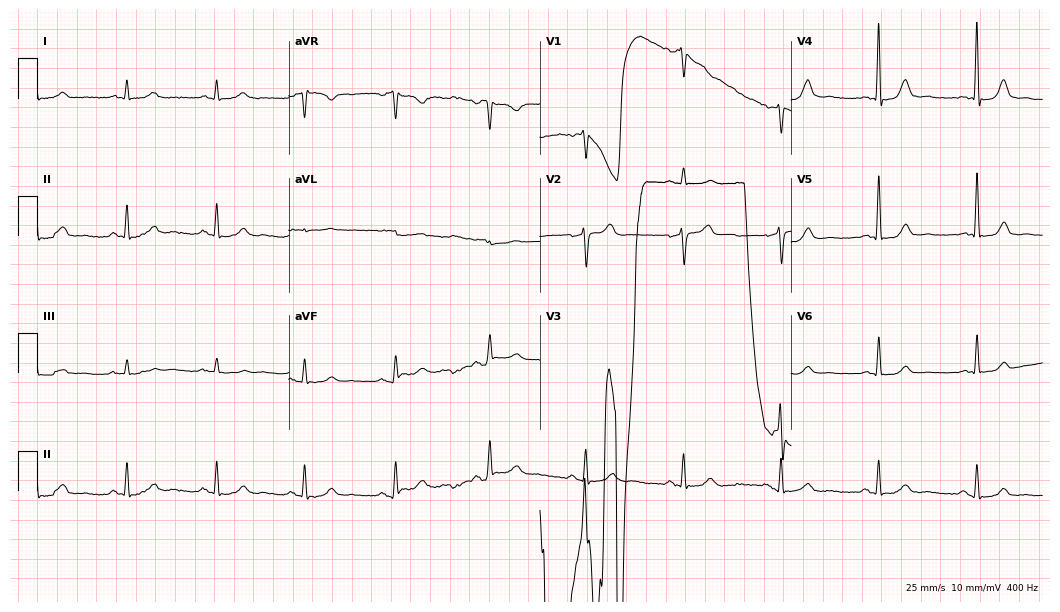
Standard 12-lead ECG recorded from a male, 64 years old (10.2-second recording at 400 Hz). Read as a normal ECG.